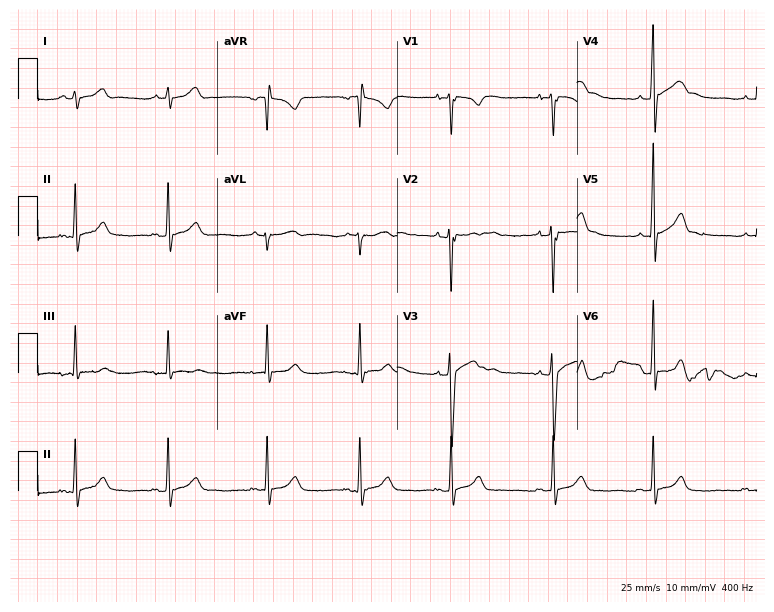
Resting 12-lead electrocardiogram (7.3-second recording at 400 Hz). Patient: a male, 17 years old. Read as a normal ECG.